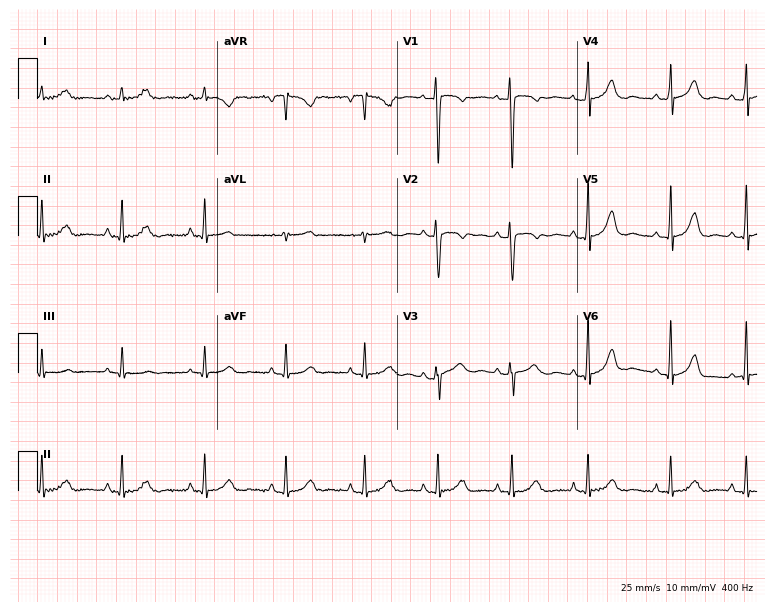
12-lead ECG from a female patient, 32 years old (7.3-second recording at 400 Hz). Recorded interpretation: within normal limits.